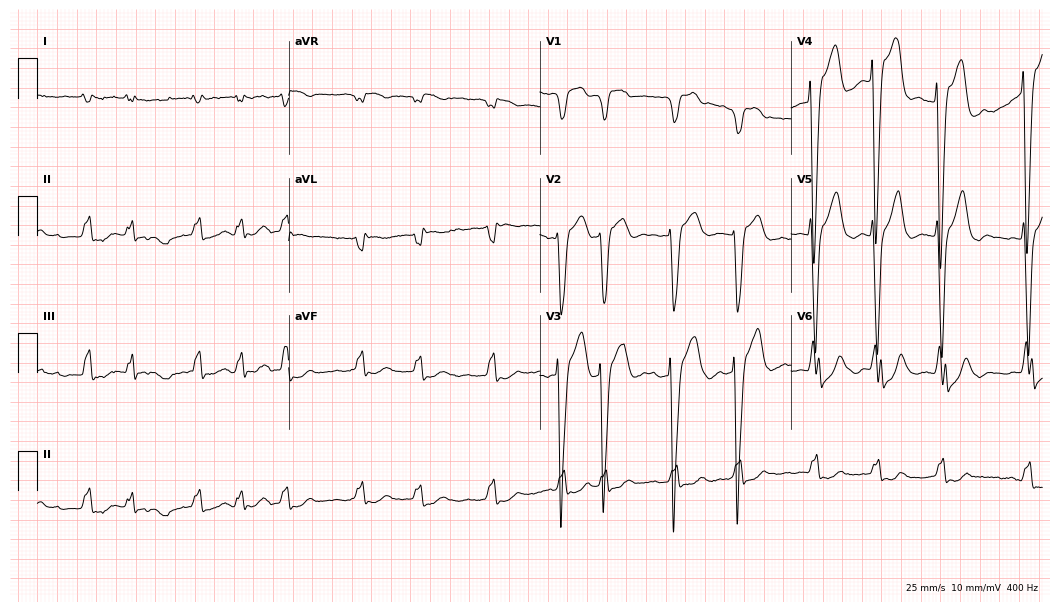
Electrocardiogram, an 82-year-old female. Interpretation includes atrial fibrillation.